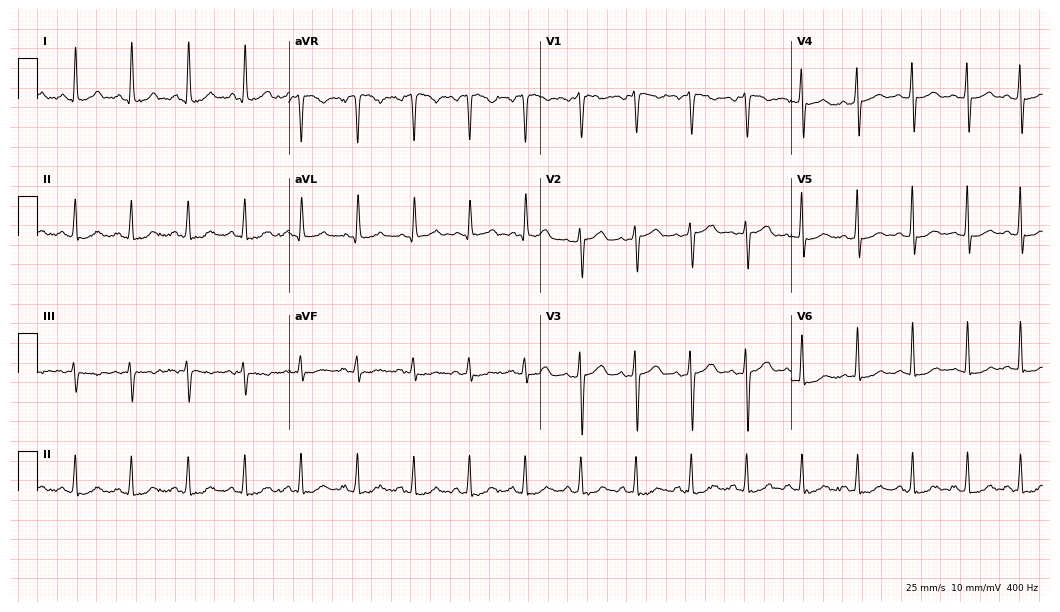
Resting 12-lead electrocardiogram. Patient: a 36-year-old female. The tracing shows sinus tachycardia (a sinus rate of 100 beats per minute or more).